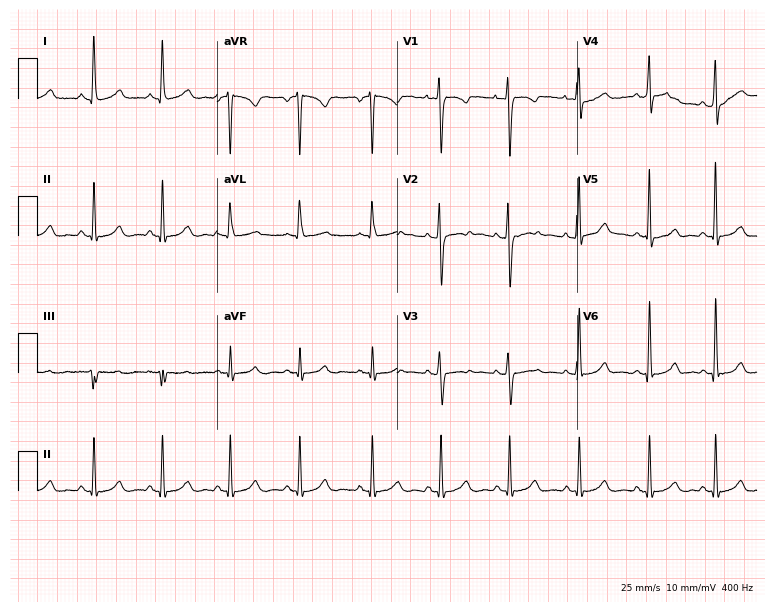
Standard 12-lead ECG recorded from a 23-year-old female patient (7.3-second recording at 400 Hz). None of these six findings is recorded: first-degree AV block, right bundle branch block (RBBB), left bundle branch block (LBBB), sinus bradycardia, atrial fibrillation (AF), sinus tachycardia.